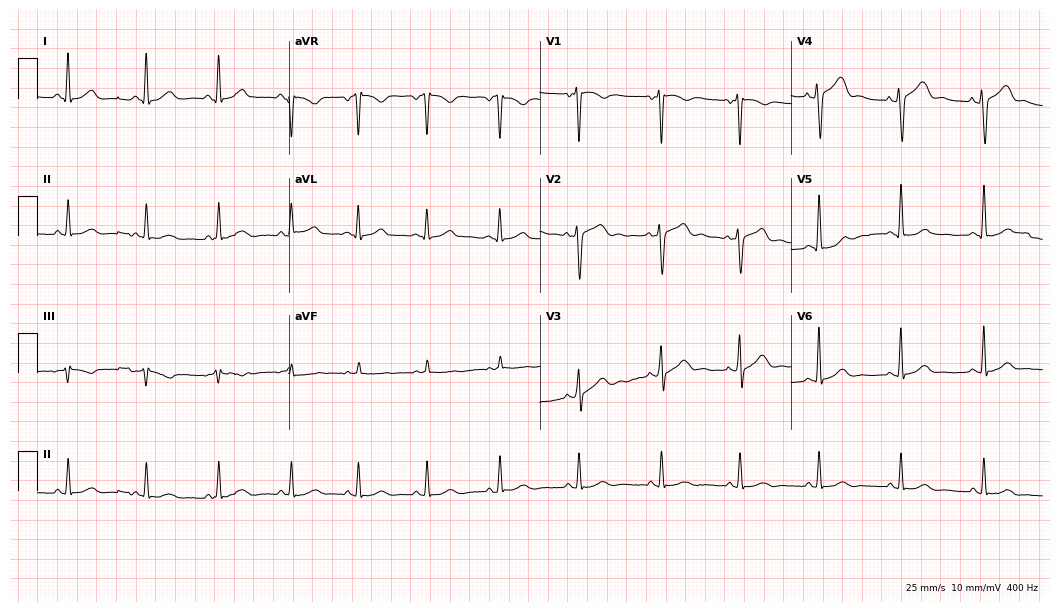
ECG (10.2-second recording at 400 Hz) — a 39-year-old male. Screened for six findings — first-degree AV block, right bundle branch block, left bundle branch block, sinus bradycardia, atrial fibrillation, sinus tachycardia — none is recorded.